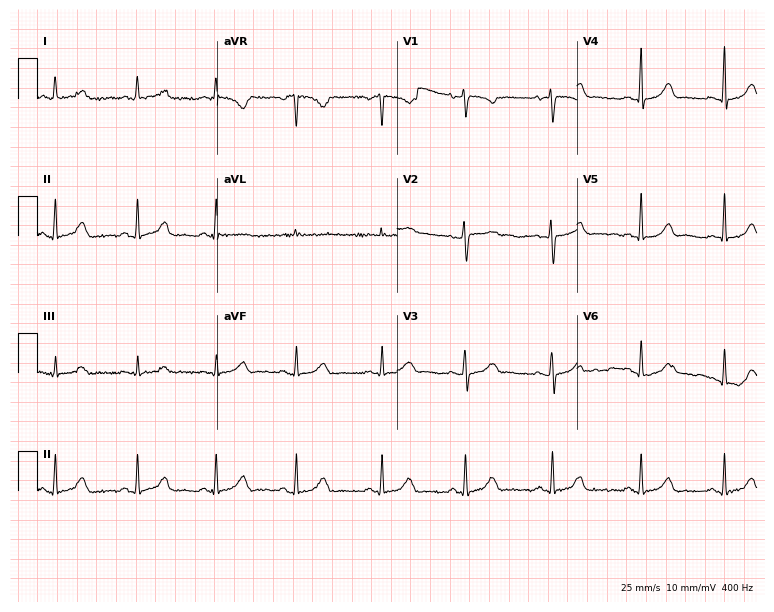
Resting 12-lead electrocardiogram (7.3-second recording at 400 Hz). Patient: a 40-year-old female. Read as a normal ECG.